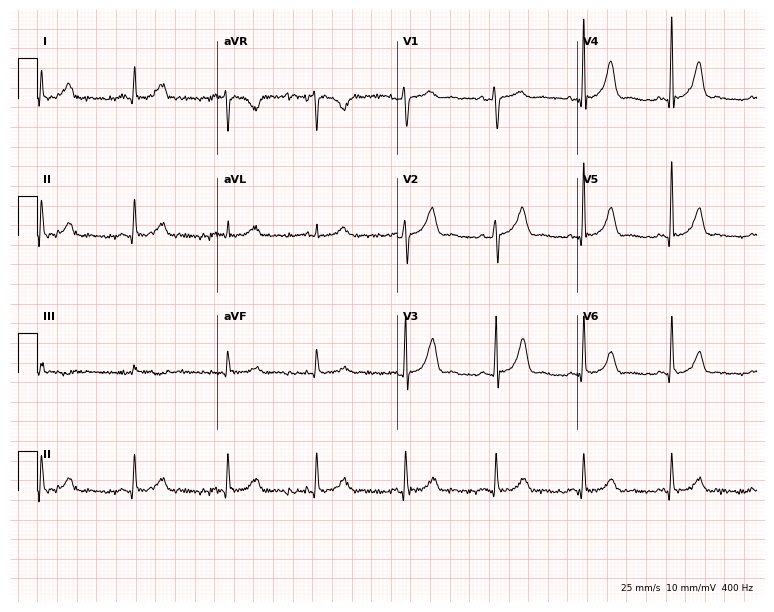
ECG — a woman, 47 years old. Labelled as a normal ECG.